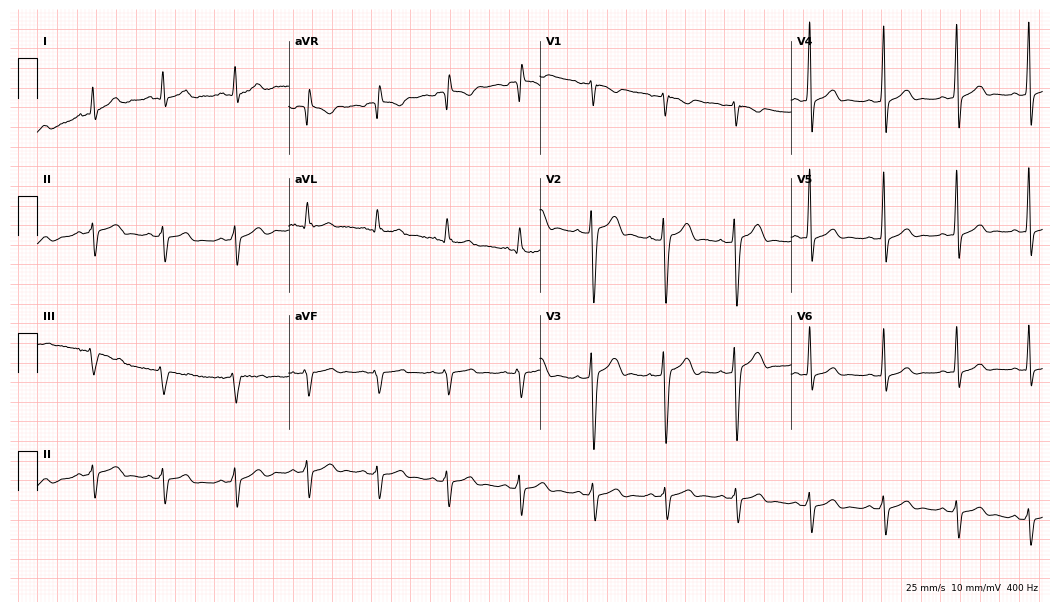
Electrocardiogram, a man, 21 years old. Of the six screened findings (first-degree AV block, right bundle branch block, left bundle branch block, sinus bradycardia, atrial fibrillation, sinus tachycardia), none is recorded. Other findings, if any, are not listed.